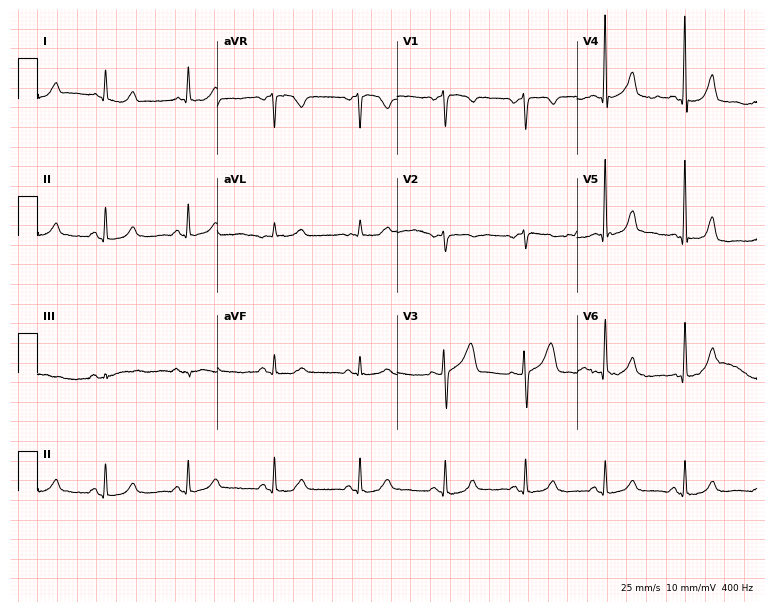
12-lead ECG from a 46-year-old female. Labelled as a normal ECG.